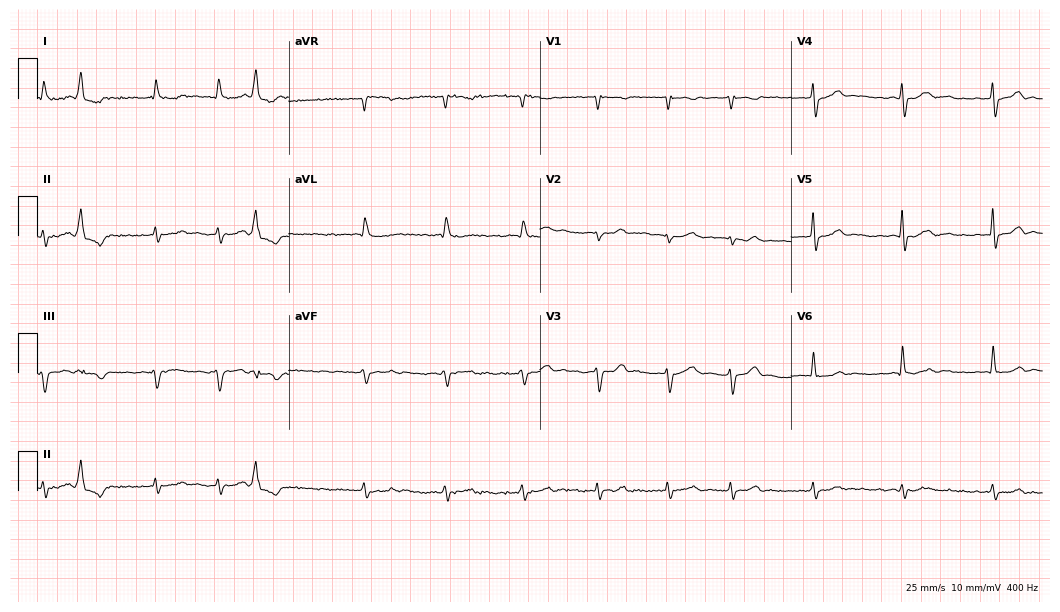
Electrocardiogram, a male patient, 83 years old. Interpretation includes atrial fibrillation.